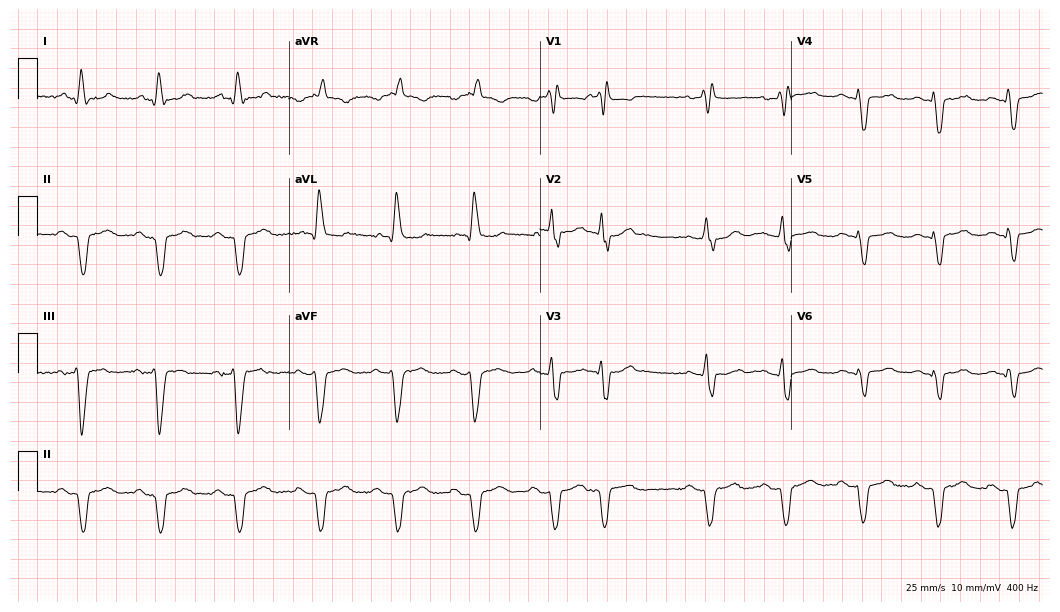
ECG (10.2-second recording at 400 Hz) — a 78-year-old female patient. Screened for six findings — first-degree AV block, right bundle branch block (RBBB), left bundle branch block (LBBB), sinus bradycardia, atrial fibrillation (AF), sinus tachycardia — none is recorded.